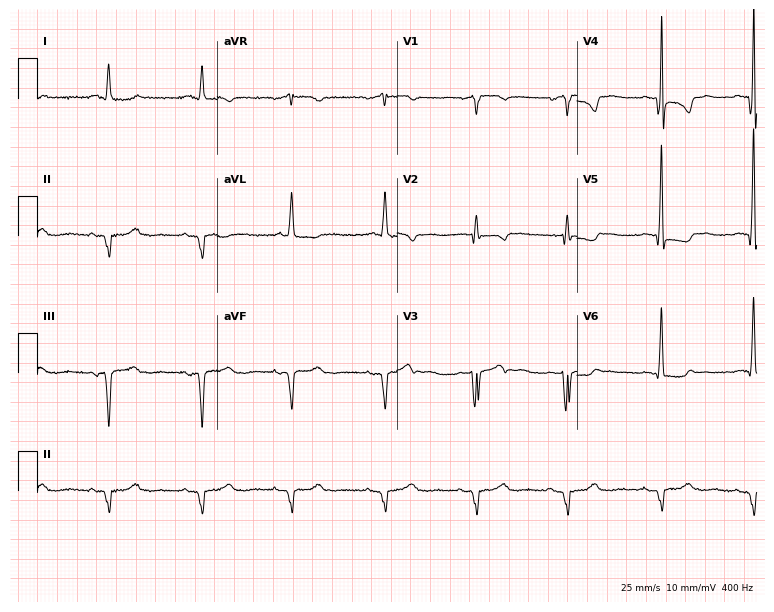
Resting 12-lead electrocardiogram (7.3-second recording at 400 Hz). Patient: an 81-year-old man. None of these six findings is recorded: first-degree AV block, right bundle branch block, left bundle branch block, sinus bradycardia, atrial fibrillation, sinus tachycardia. Only these six findings were labelled.